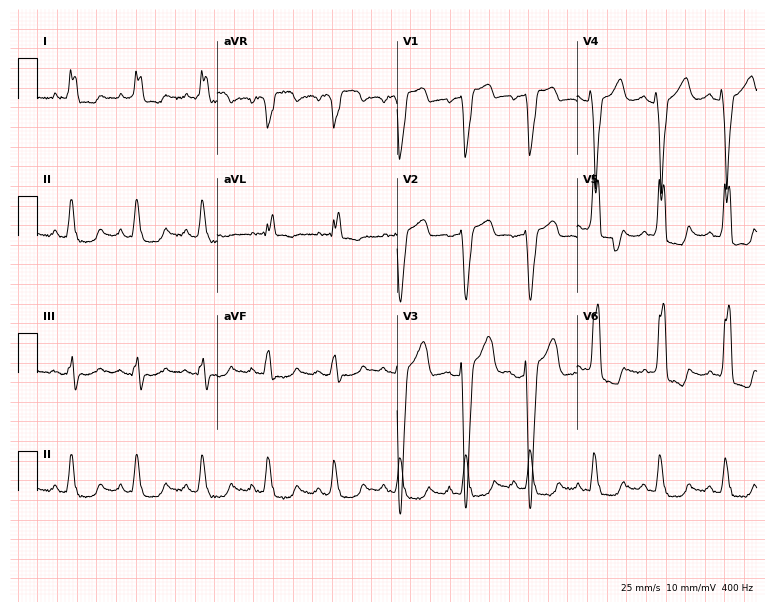
Standard 12-lead ECG recorded from a 78-year-old woman. The tracing shows left bundle branch block (LBBB).